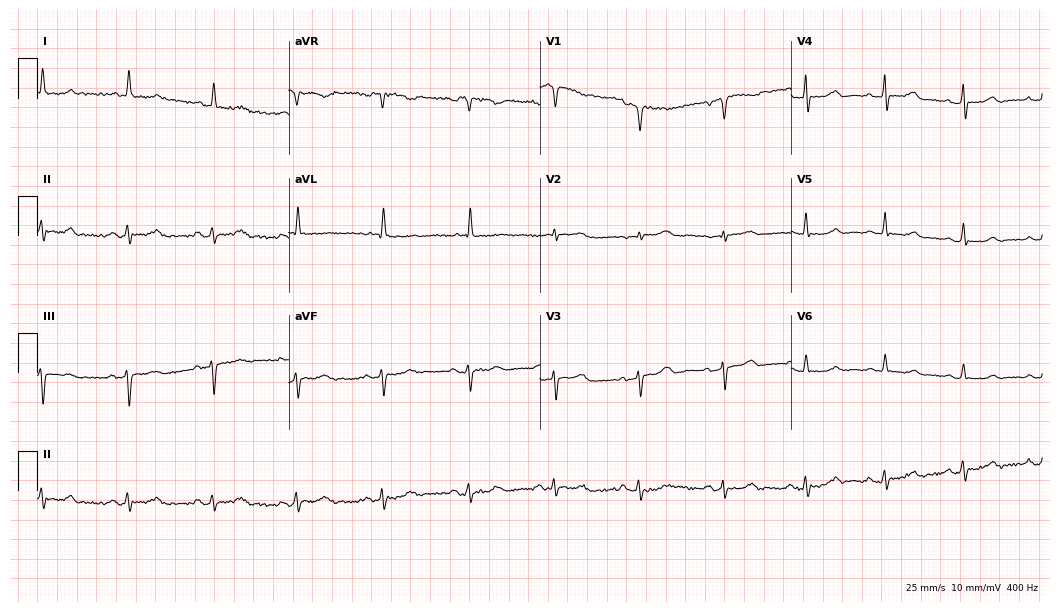
12-lead ECG from a 76-year-old female patient (10.2-second recording at 400 Hz). No first-degree AV block, right bundle branch block (RBBB), left bundle branch block (LBBB), sinus bradycardia, atrial fibrillation (AF) or sinus tachycardia recorded for this tracing. Other findings, if any, are not listed.